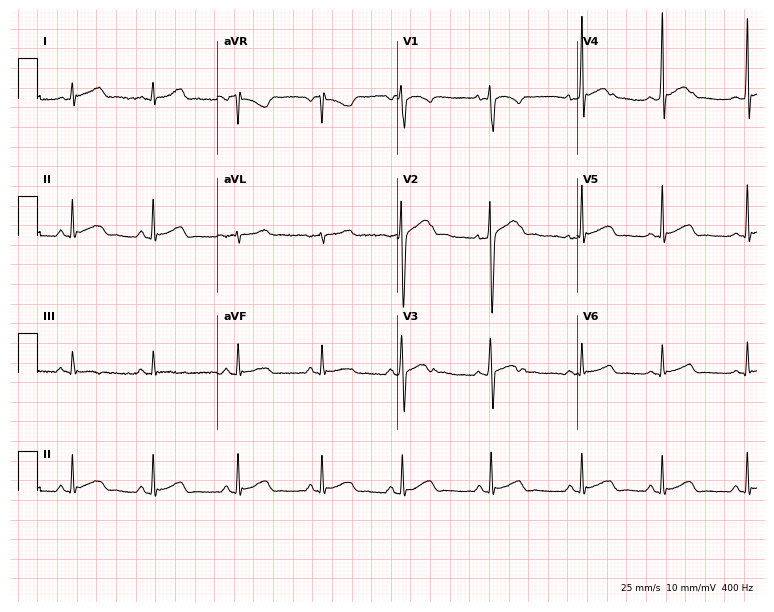
Electrocardiogram (7.3-second recording at 400 Hz), a 17-year-old male. Overall reading on record: normal ECG.